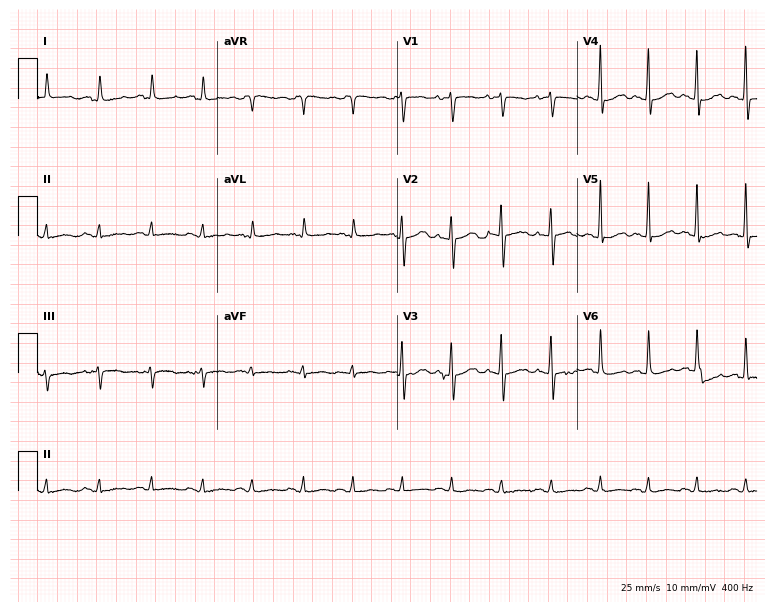
Resting 12-lead electrocardiogram. Patient: a 75-year-old female. None of these six findings is recorded: first-degree AV block, right bundle branch block (RBBB), left bundle branch block (LBBB), sinus bradycardia, atrial fibrillation (AF), sinus tachycardia.